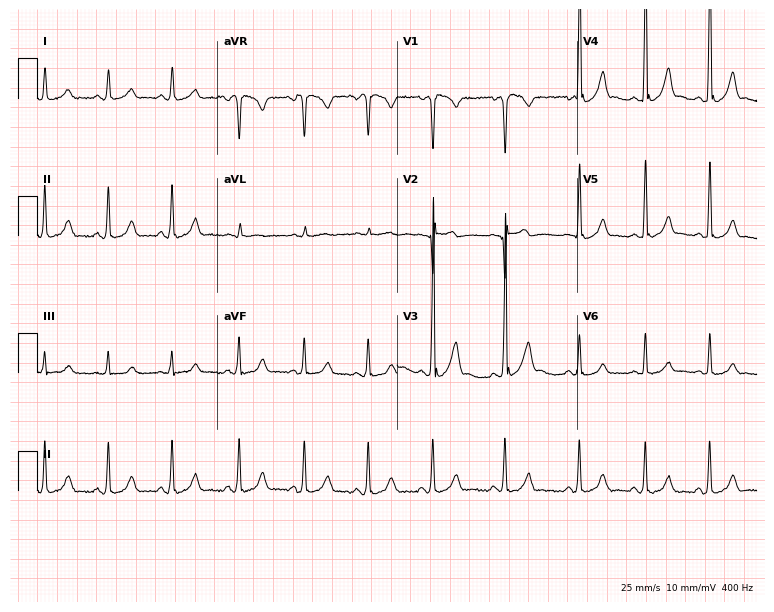
Electrocardiogram (7.3-second recording at 400 Hz), a male patient, 20 years old. Of the six screened findings (first-degree AV block, right bundle branch block (RBBB), left bundle branch block (LBBB), sinus bradycardia, atrial fibrillation (AF), sinus tachycardia), none is recorded.